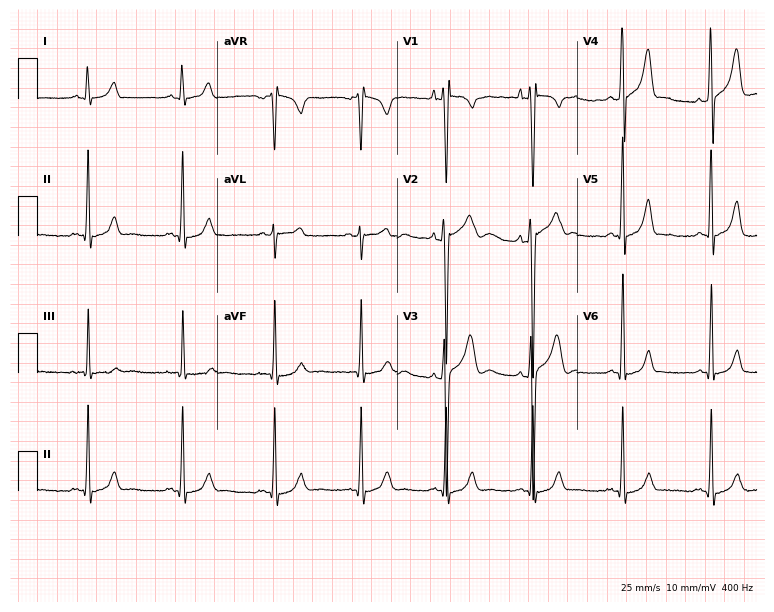
12-lead ECG from a male patient, 19 years old. No first-degree AV block, right bundle branch block (RBBB), left bundle branch block (LBBB), sinus bradycardia, atrial fibrillation (AF) or sinus tachycardia recorded for this tracing. Other findings, if any, are not listed.